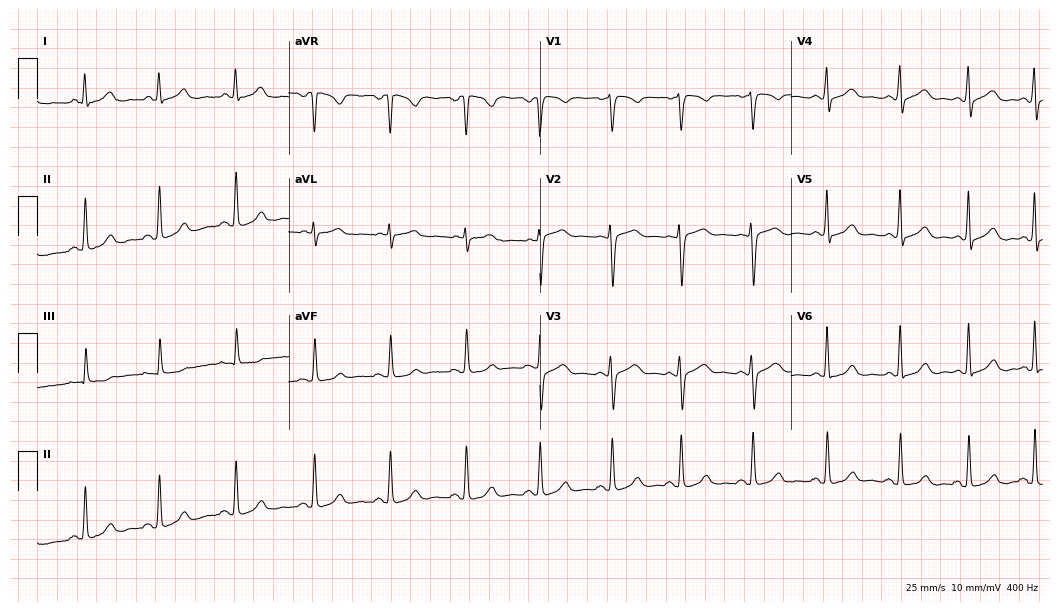
Standard 12-lead ECG recorded from a 51-year-old female (10.2-second recording at 400 Hz). None of these six findings is recorded: first-degree AV block, right bundle branch block, left bundle branch block, sinus bradycardia, atrial fibrillation, sinus tachycardia.